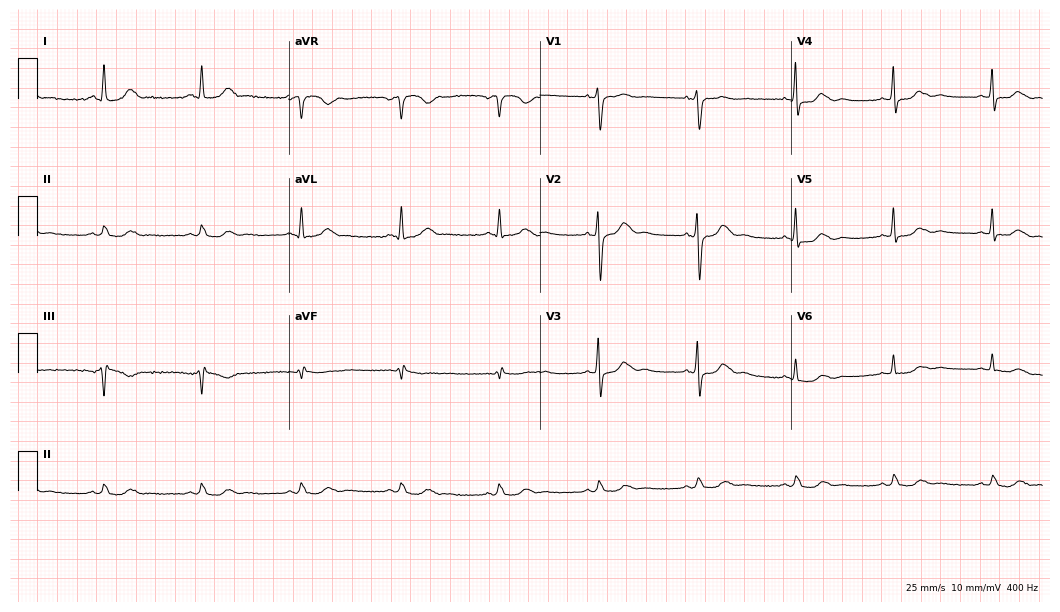
12-lead ECG from a female, 72 years old. Recorded interpretation: within normal limits.